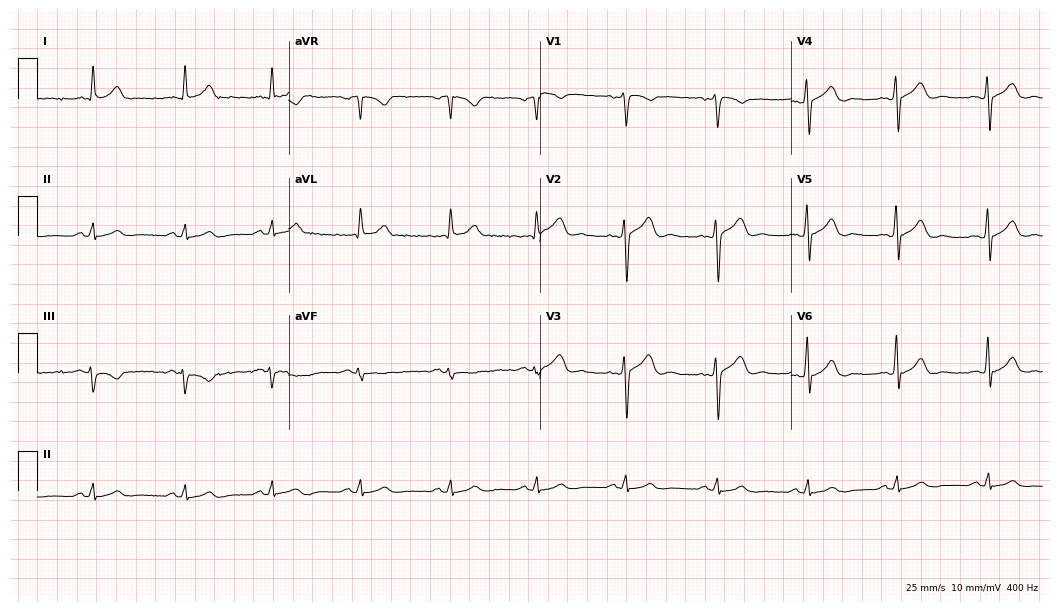
12-lead ECG from a 61-year-old male (10.2-second recording at 400 Hz). No first-degree AV block, right bundle branch block (RBBB), left bundle branch block (LBBB), sinus bradycardia, atrial fibrillation (AF) or sinus tachycardia recorded for this tracing.